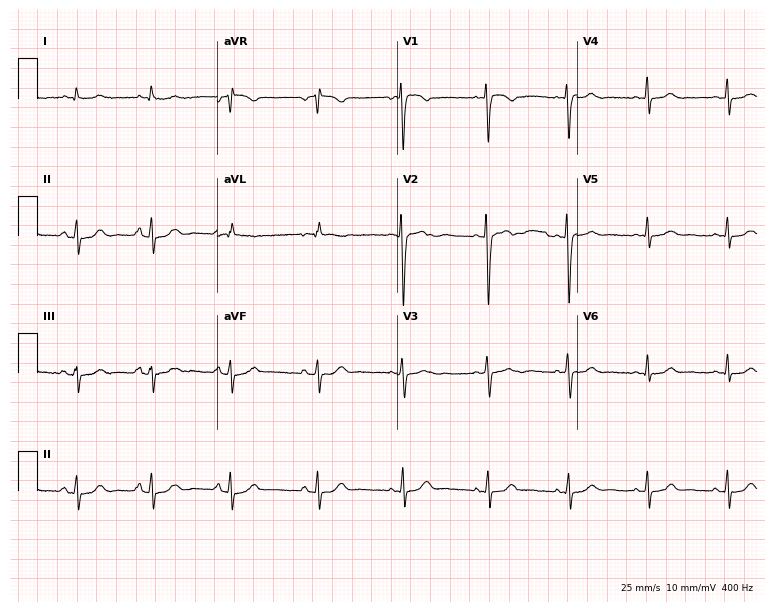
12-lead ECG (7.3-second recording at 400 Hz) from a 41-year-old male patient. Screened for six findings — first-degree AV block, right bundle branch block, left bundle branch block, sinus bradycardia, atrial fibrillation, sinus tachycardia — none is recorded.